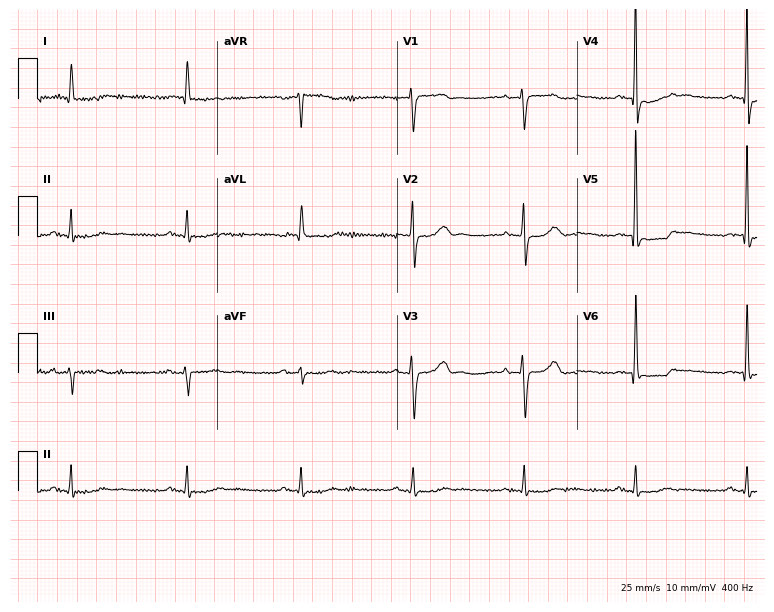
Resting 12-lead electrocardiogram. Patient: a male, 72 years old. None of these six findings is recorded: first-degree AV block, right bundle branch block, left bundle branch block, sinus bradycardia, atrial fibrillation, sinus tachycardia.